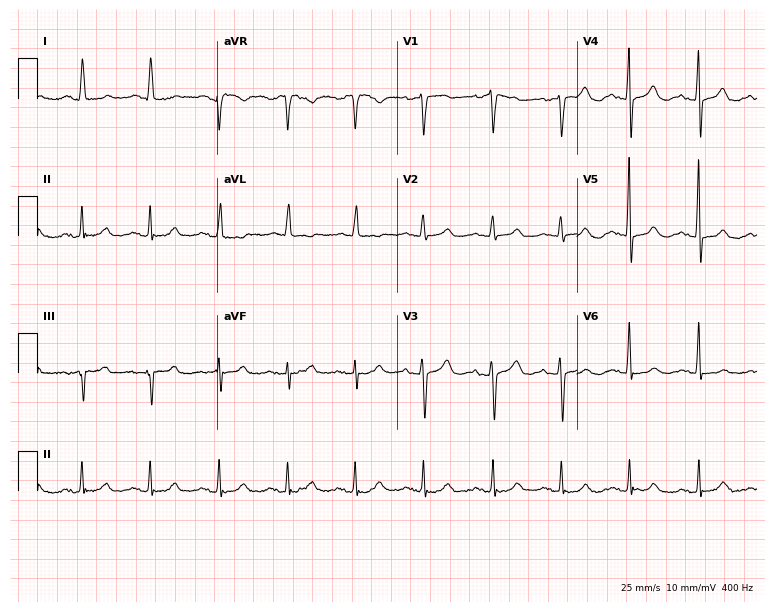
Electrocardiogram, a female, 81 years old. Overall reading on record: normal ECG.